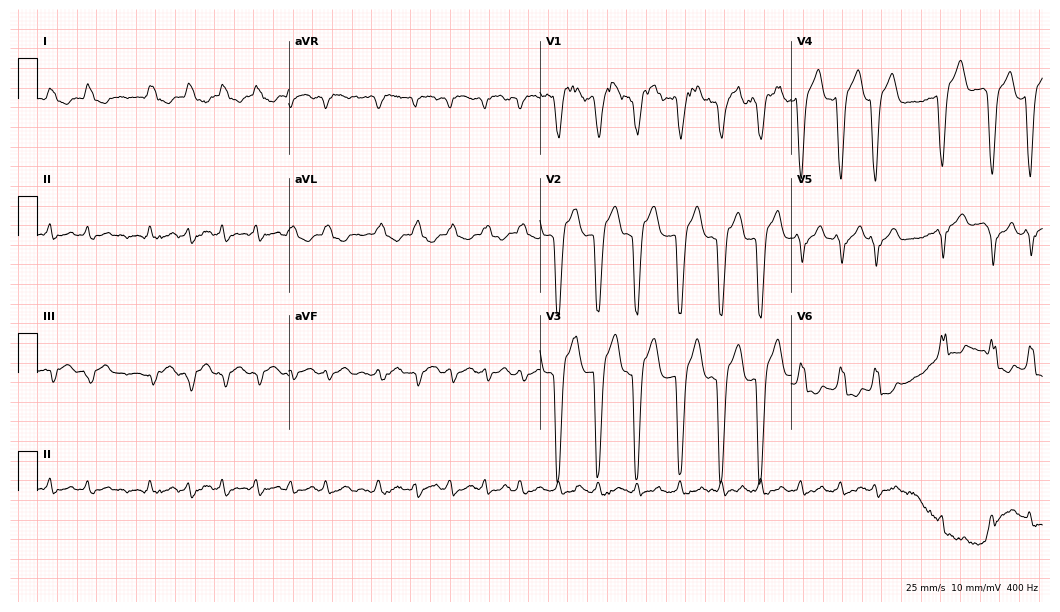
Electrocardiogram (10.2-second recording at 400 Hz), a female, 82 years old. Interpretation includes left bundle branch block (LBBB), atrial fibrillation (AF).